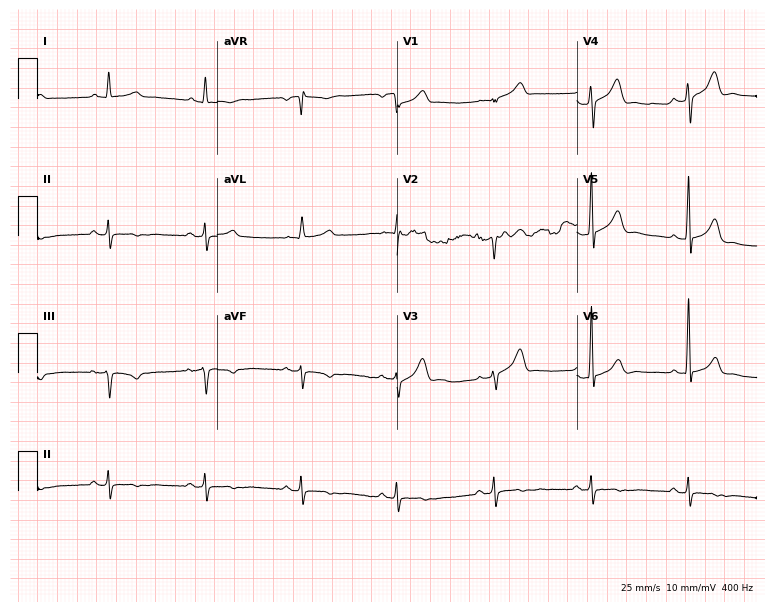
ECG — a 68-year-old woman. Screened for six findings — first-degree AV block, right bundle branch block, left bundle branch block, sinus bradycardia, atrial fibrillation, sinus tachycardia — none is recorded.